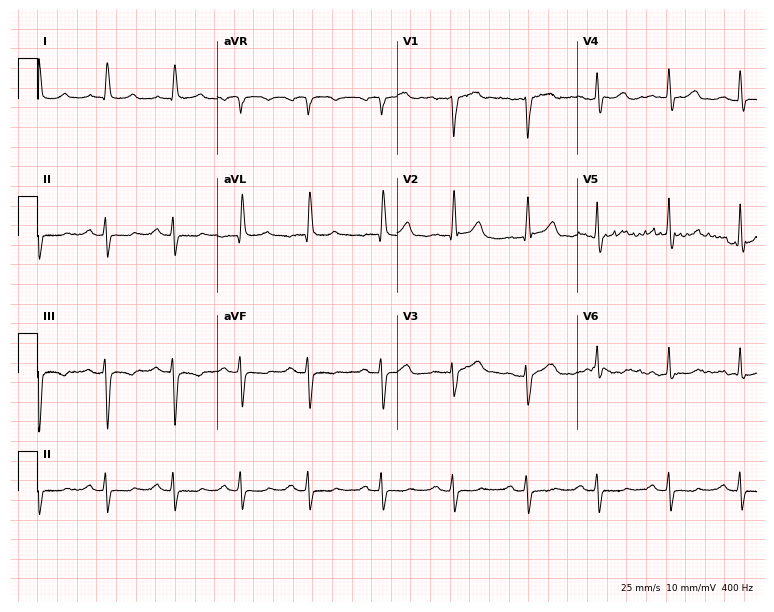
Resting 12-lead electrocardiogram (7.3-second recording at 400 Hz). Patient: a 77-year-old male. None of these six findings is recorded: first-degree AV block, right bundle branch block, left bundle branch block, sinus bradycardia, atrial fibrillation, sinus tachycardia.